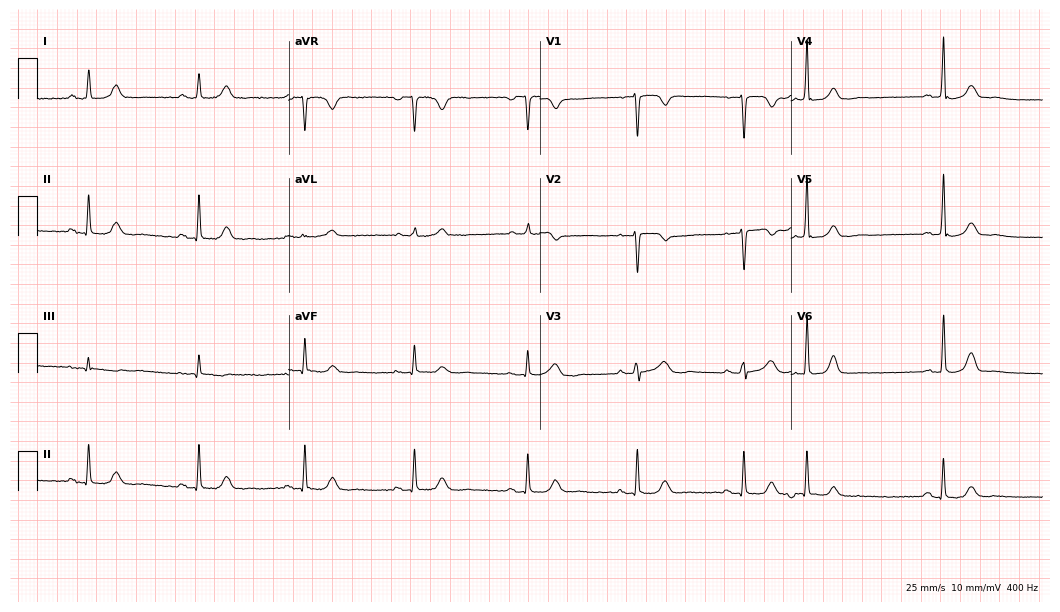
Resting 12-lead electrocardiogram (10.2-second recording at 400 Hz). Patient: a female, 66 years old. None of these six findings is recorded: first-degree AV block, right bundle branch block, left bundle branch block, sinus bradycardia, atrial fibrillation, sinus tachycardia. Other findings, if any, are not listed.